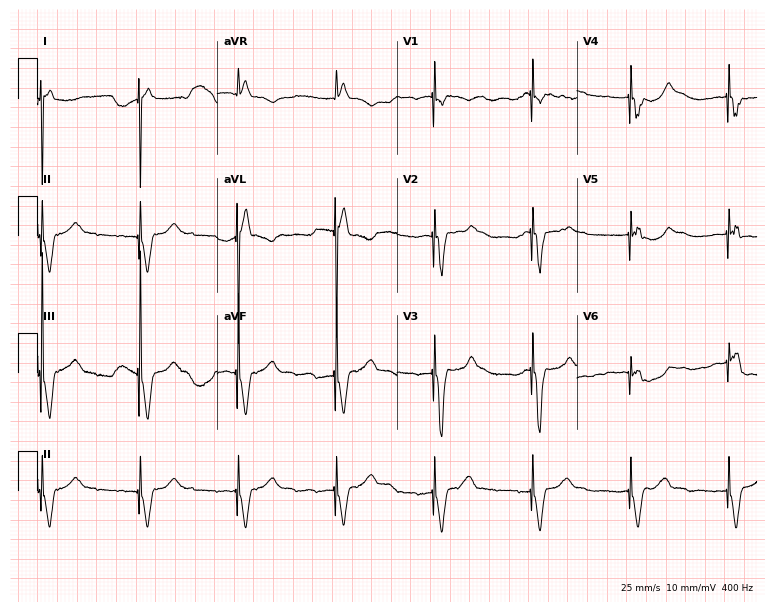
12-lead ECG from a male, 83 years old (7.3-second recording at 400 Hz). No first-degree AV block, right bundle branch block (RBBB), left bundle branch block (LBBB), sinus bradycardia, atrial fibrillation (AF) or sinus tachycardia recorded for this tracing. Findings outside these six are not listed.